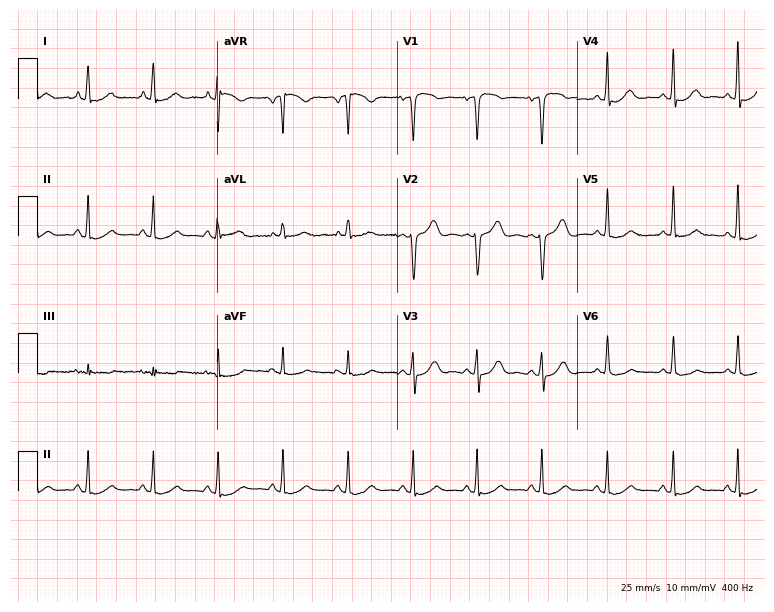
12-lead ECG from a 48-year-old woman. Screened for six findings — first-degree AV block, right bundle branch block, left bundle branch block, sinus bradycardia, atrial fibrillation, sinus tachycardia — none is recorded.